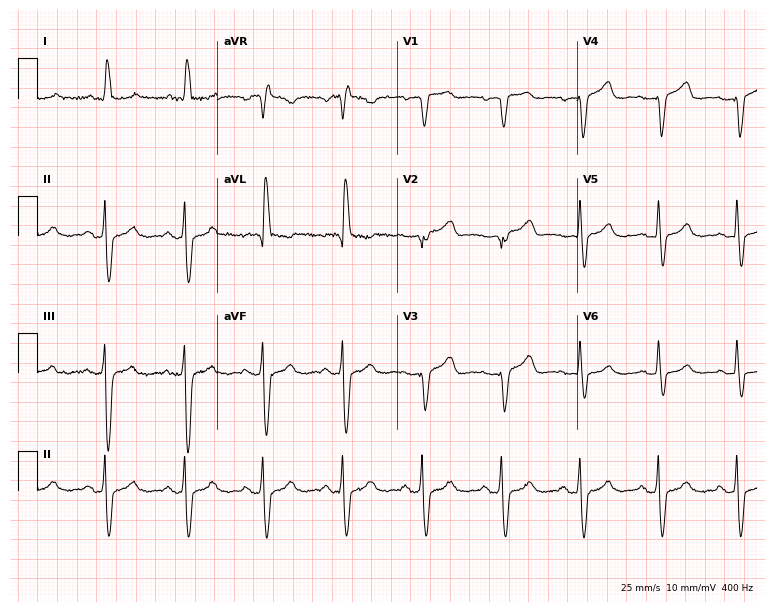
ECG — a woman, 76 years old. Findings include left bundle branch block (LBBB).